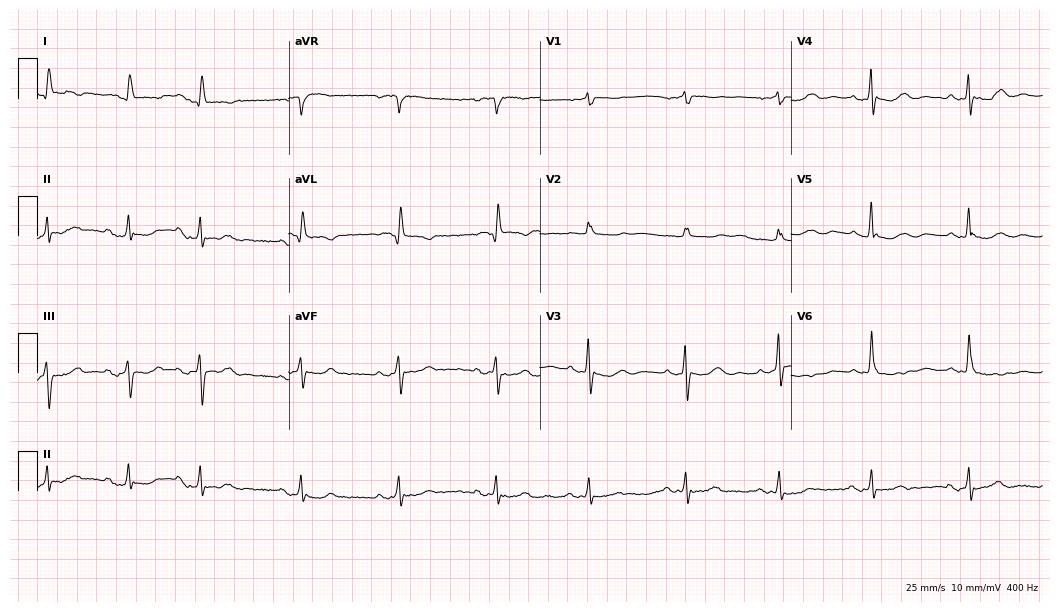
Electrocardiogram, a 77-year-old female patient. Of the six screened findings (first-degree AV block, right bundle branch block, left bundle branch block, sinus bradycardia, atrial fibrillation, sinus tachycardia), none is recorded. Only these six findings were labelled.